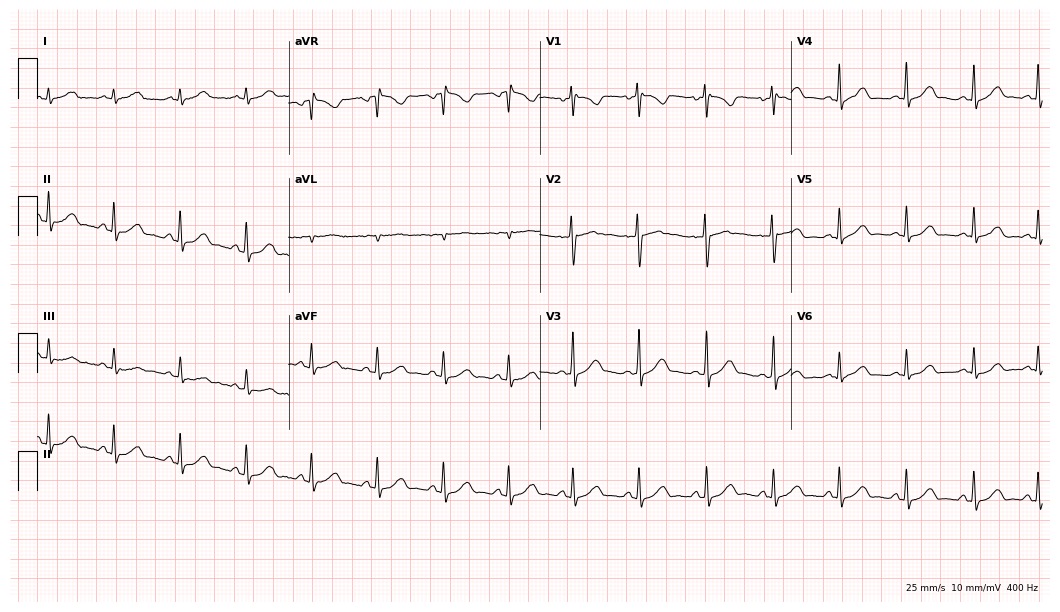
12-lead ECG from an 18-year-old female. Labelled as a normal ECG.